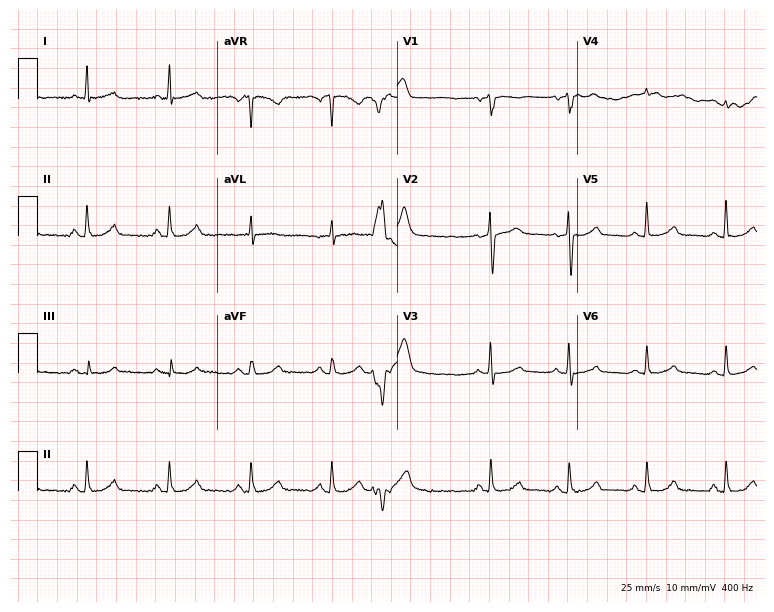
Standard 12-lead ECG recorded from a female patient, 66 years old (7.3-second recording at 400 Hz). Read as a normal ECG.